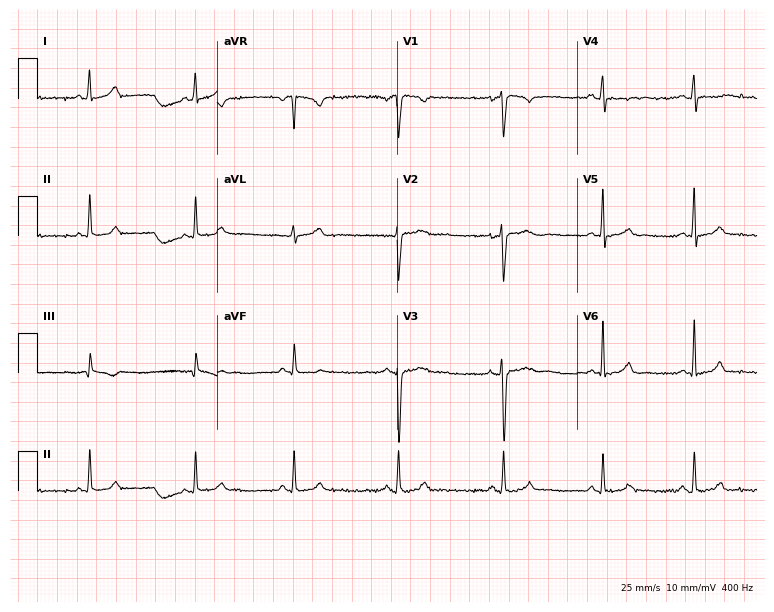
12-lead ECG from a man, 18 years old (7.3-second recording at 400 Hz). Recorded interpretation: within normal limits.